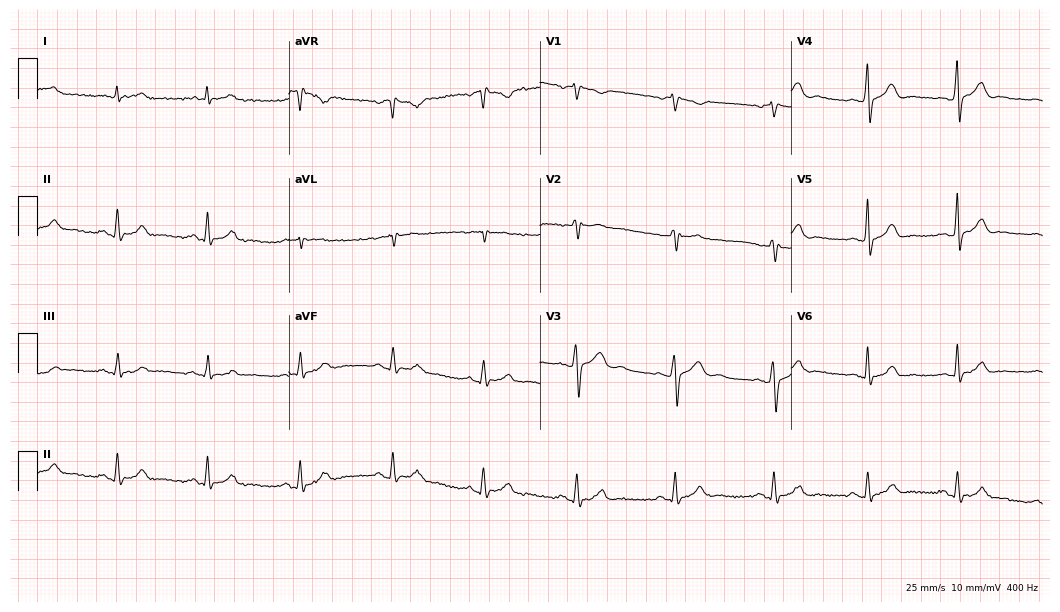
Resting 12-lead electrocardiogram (10.2-second recording at 400 Hz). Patient: a male, 46 years old. Read as a normal ECG.